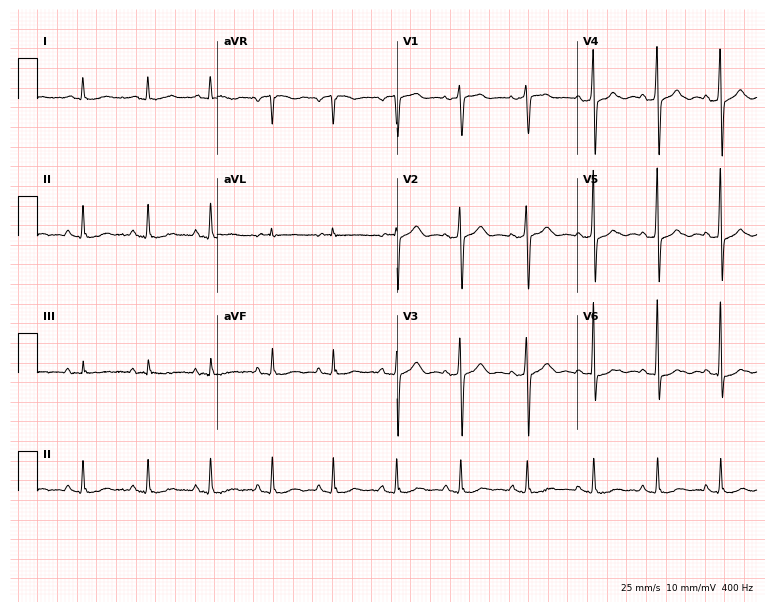
ECG (7.3-second recording at 400 Hz) — a male, 68 years old. Labelled as a normal ECG.